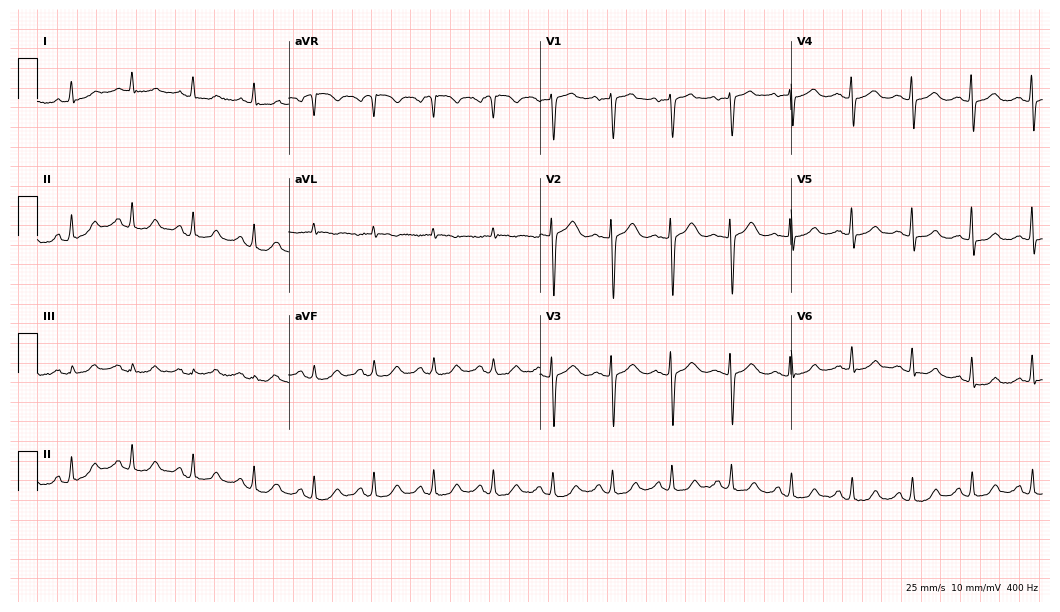
12-lead ECG (10.2-second recording at 400 Hz) from a 56-year-old female patient. Screened for six findings — first-degree AV block, right bundle branch block, left bundle branch block, sinus bradycardia, atrial fibrillation, sinus tachycardia — none is recorded.